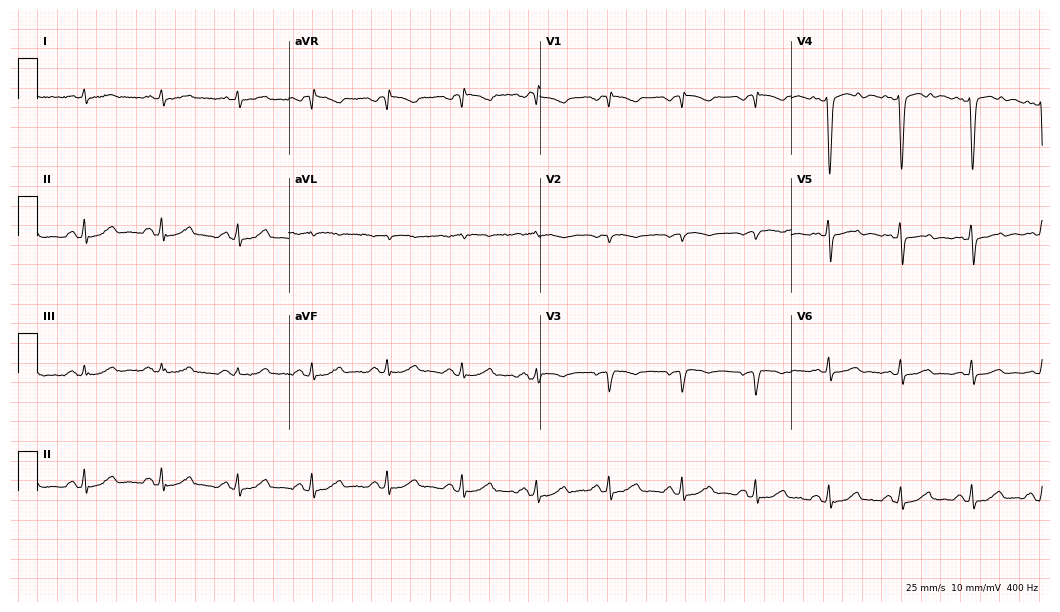
ECG — a female patient, 57 years old. Screened for six findings — first-degree AV block, right bundle branch block (RBBB), left bundle branch block (LBBB), sinus bradycardia, atrial fibrillation (AF), sinus tachycardia — none is recorded. Other findings, if any, are not listed.